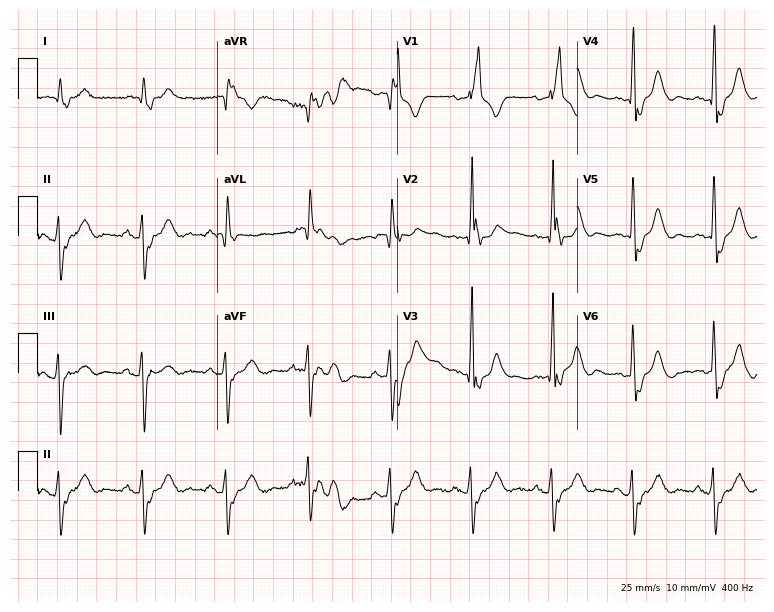
Standard 12-lead ECG recorded from an 82-year-old male patient. The tracing shows right bundle branch block.